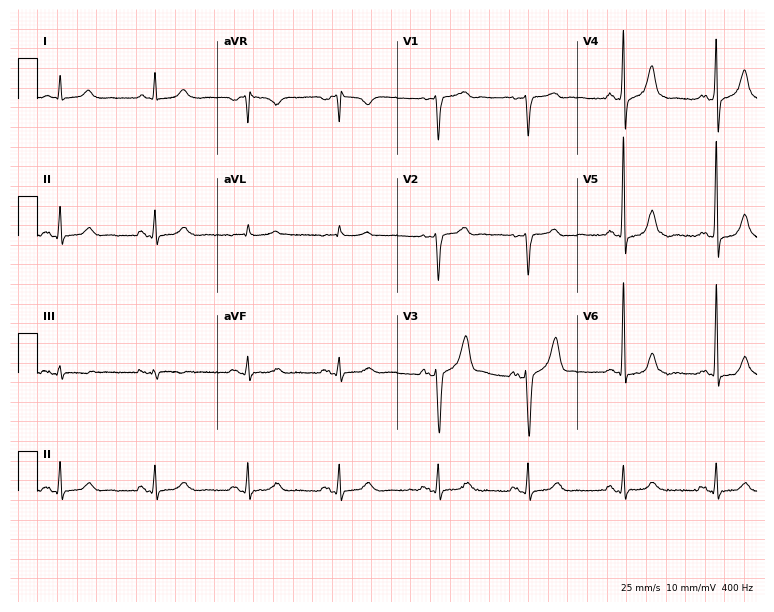
ECG — a 64-year-old male. Labelled as a normal ECG.